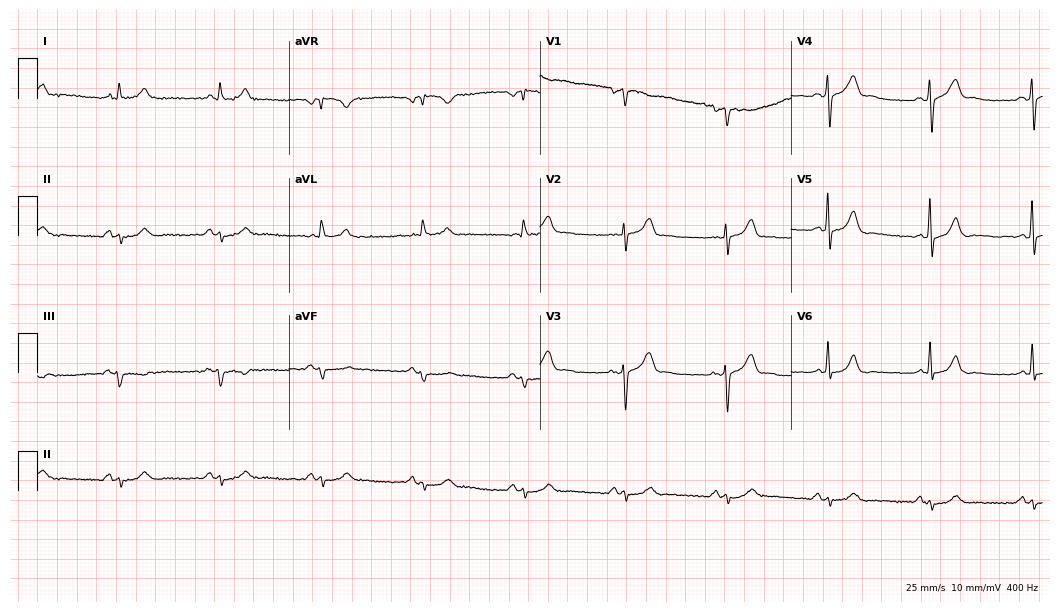
ECG (10.2-second recording at 400 Hz) — a male, 64 years old. Screened for six findings — first-degree AV block, right bundle branch block, left bundle branch block, sinus bradycardia, atrial fibrillation, sinus tachycardia — none is recorded.